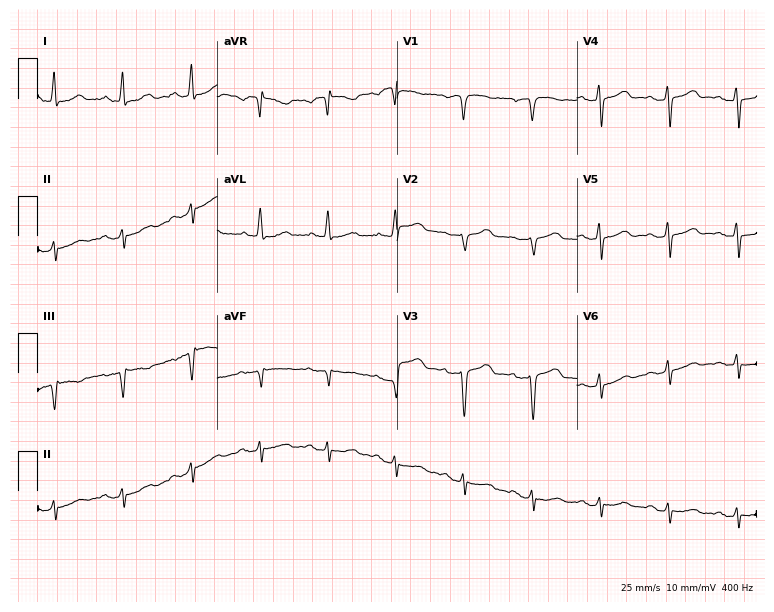
Standard 12-lead ECG recorded from a female patient, 50 years old (7.3-second recording at 400 Hz). None of these six findings is recorded: first-degree AV block, right bundle branch block, left bundle branch block, sinus bradycardia, atrial fibrillation, sinus tachycardia.